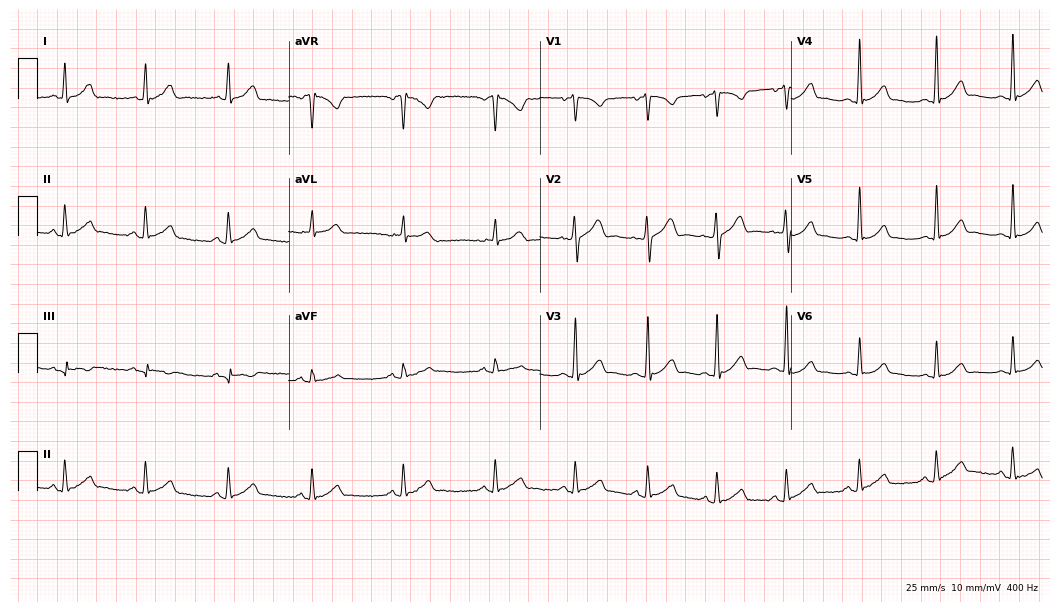
12-lead ECG from a 26-year-old male patient. Recorded interpretation: within normal limits.